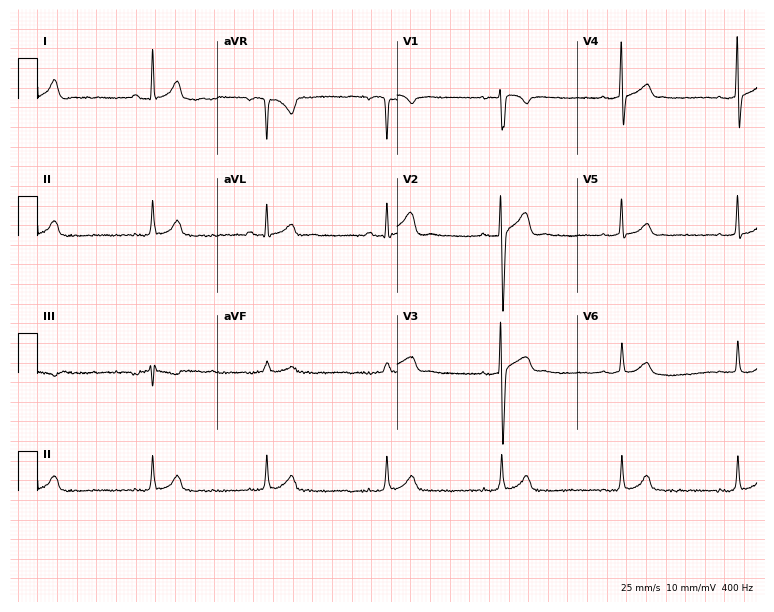
12-lead ECG (7.3-second recording at 400 Hz) from a male, 20 years old. Screened for six findings — first-degree AV block, right bundle branch block (RBBB), left bundle branch block (LBBB), sinus bradycardia, atrial fibrillation (AF), sinus tachycardia — none is recorded.